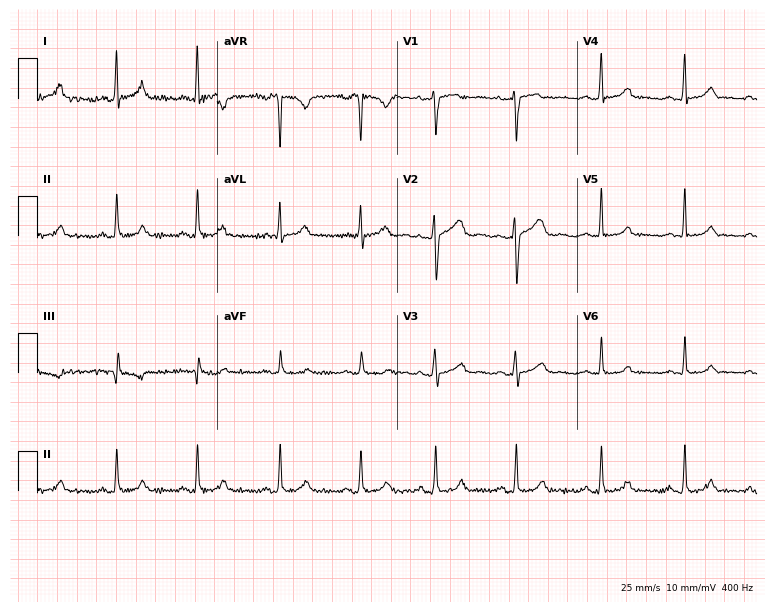
12-lead ECG from a woman, 43 years old. Screened for six findings — first-degree AV block, right bundle branch block, left bundle branch block, sinus bradycardia, atrial fibrillation, sinus tachycardia — none is recorded. Other findings, if any, are not listed.